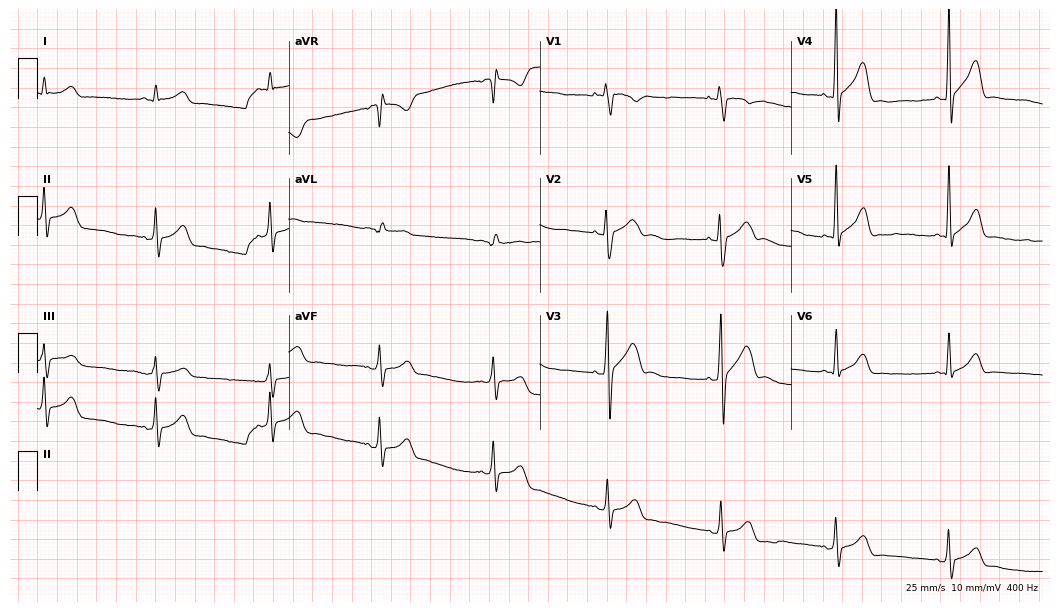
Electrocardiogram, a man, 19 years old. Overall reading on record: normal ECG.